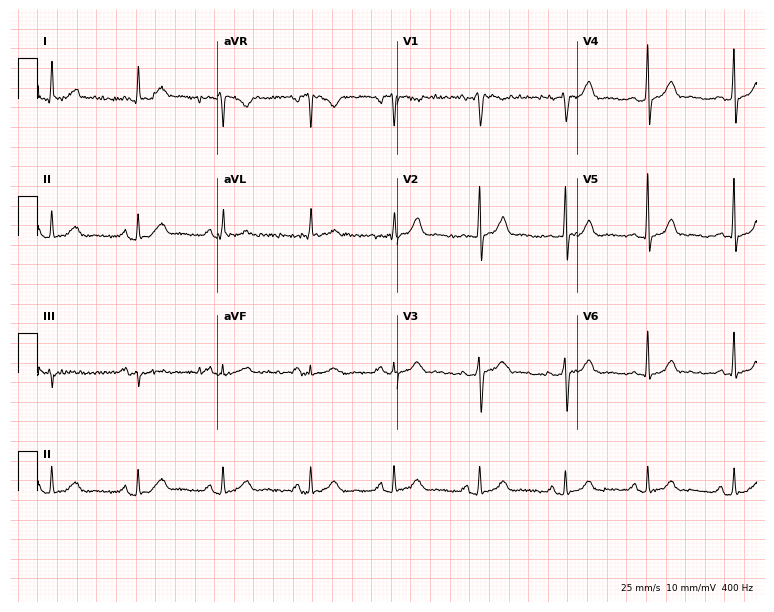
12-lead ECG (7.3-second recording at 400 Hz) from a woman, 36 years old. Labelled as a normal ECG.